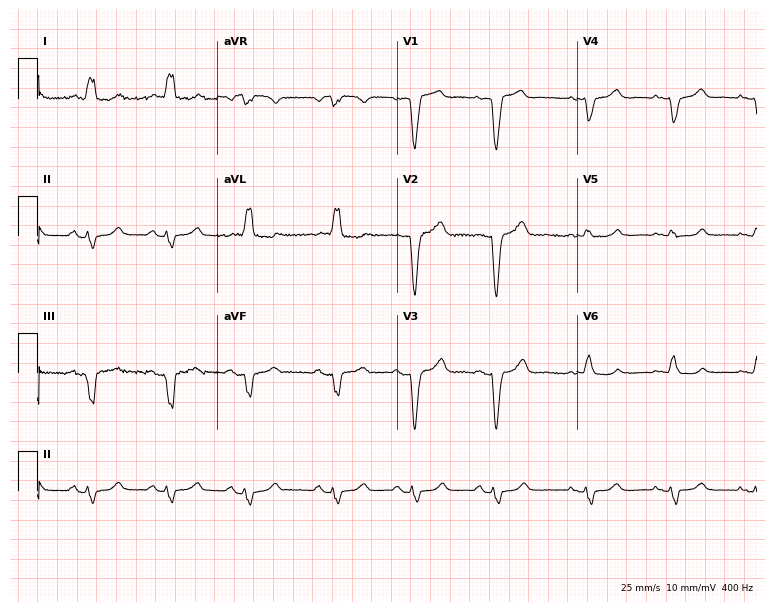
Resting 12-lead electrocardiogram. Patient: an 81-year-old female. The tracing shows left bundle branch block.